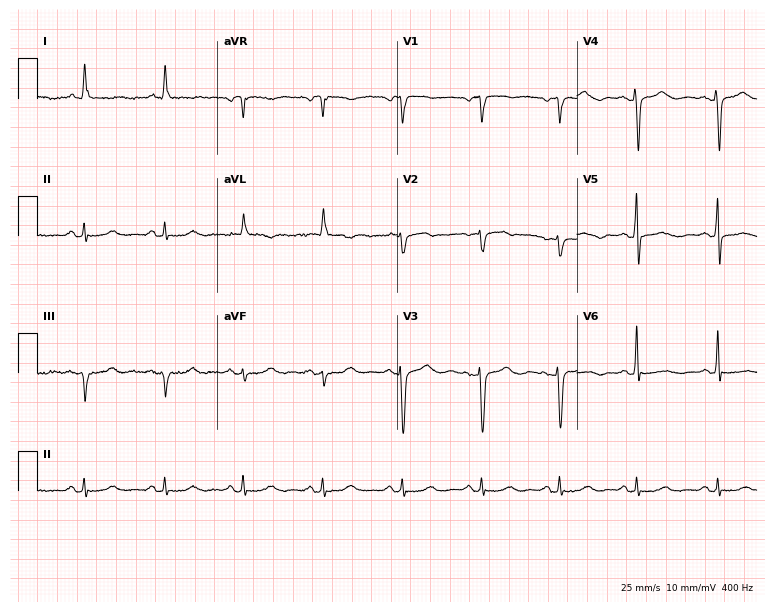
12-lead ECG from a female, 83 years old. Screened for six findings — first-degree AV block, right bundle branch block, left bundle branch block, sinus bradycardia, atrial fibrillation, sinus tachycardia — none is recorded.